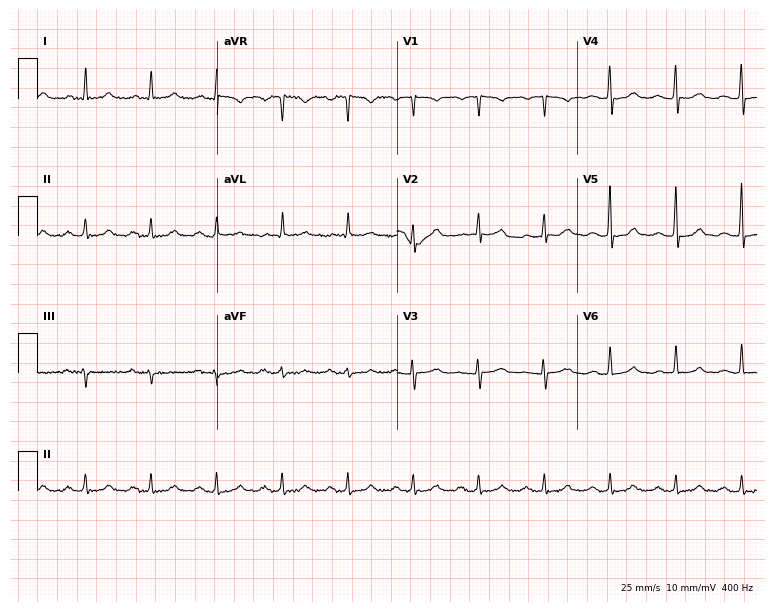
Resting 12-lead electrocardiogram. Patient: a female, 66 years old. The tracing shows first-degree AV block.